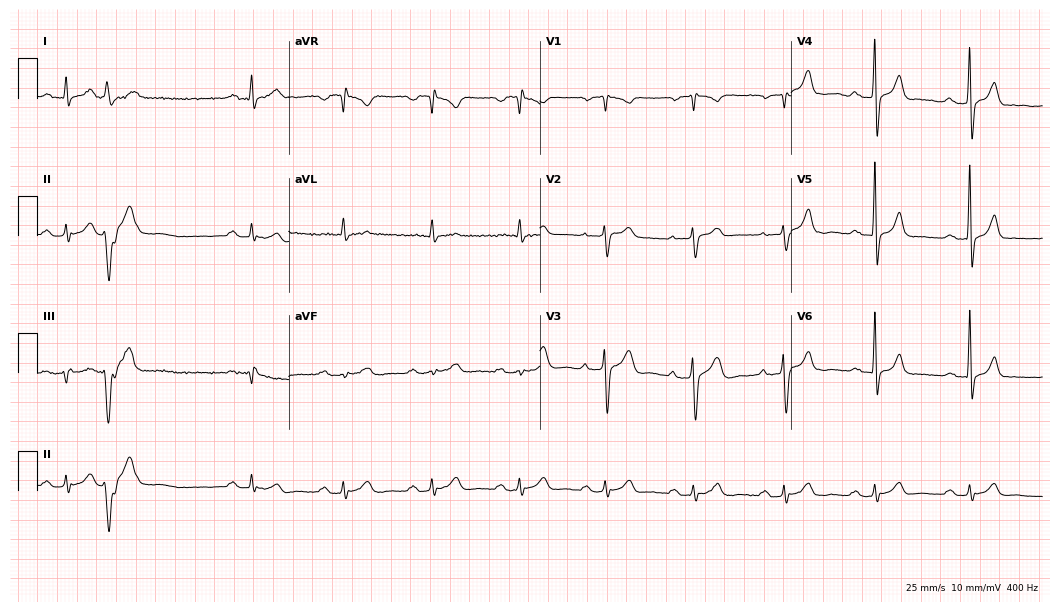
ECG (10.2-second recording at 400 Hz) — a 67-year-old man. Findings include first-degree AV block.